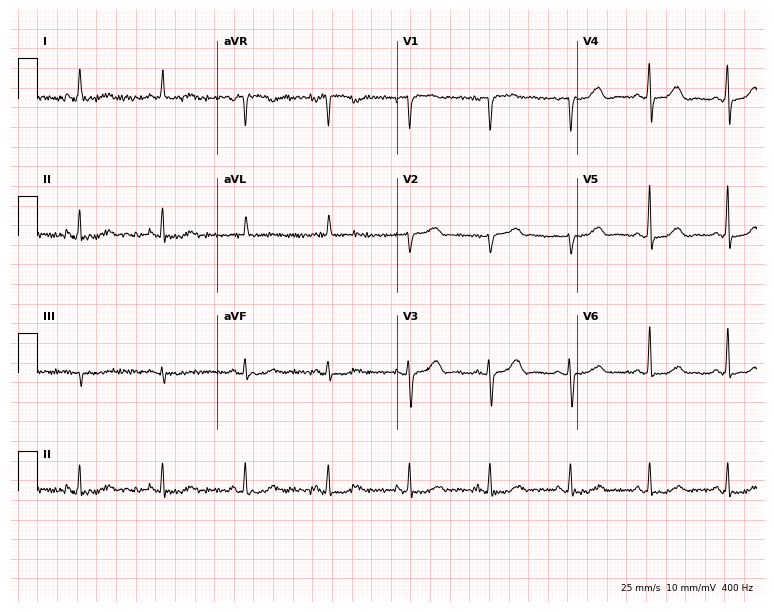
Standard 12-lead ECG recorded from a 79-year-old woman. Read as a normal ECG.